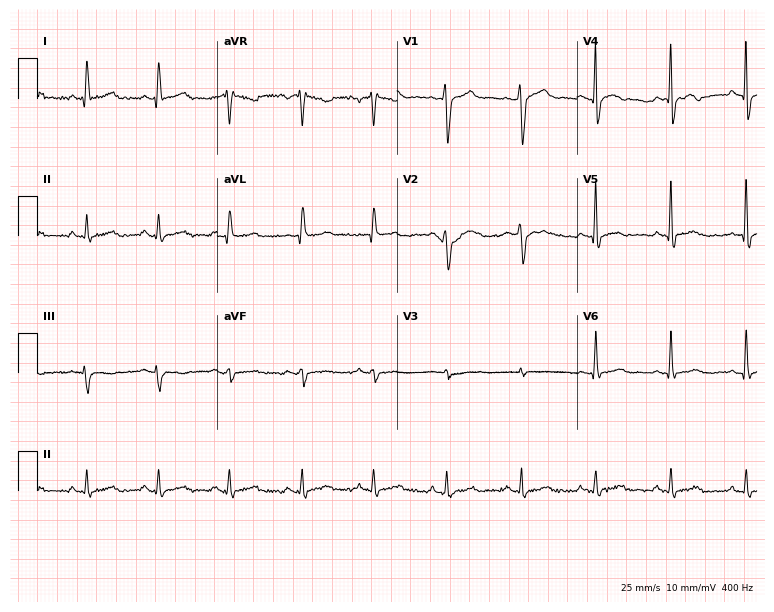
Electrocardiogram, a 39-year-old male patient. Overall reading on record: normal ECG.